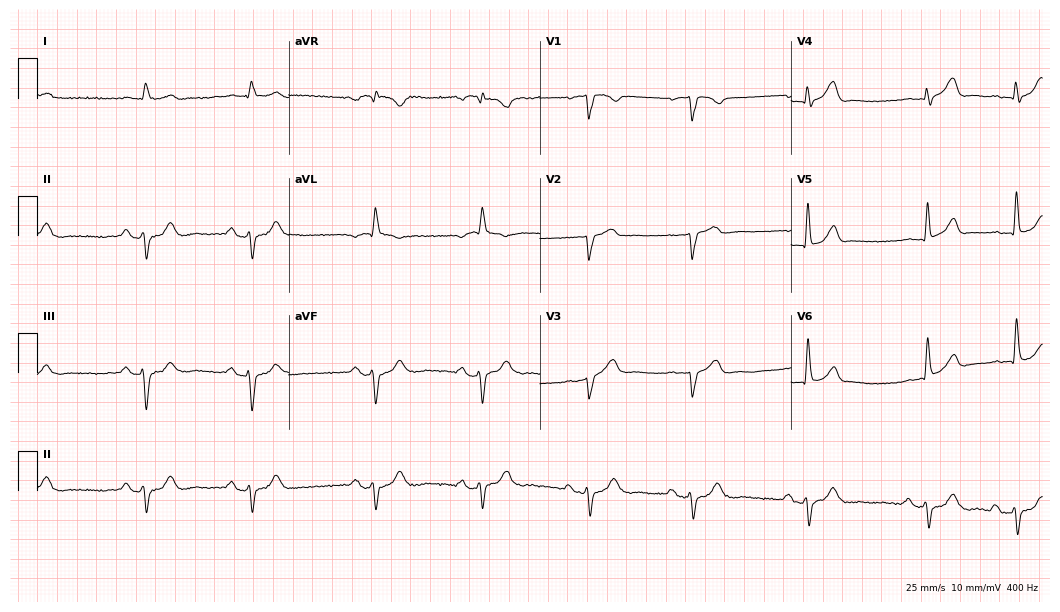
12-lead ECG from a female, 70 years old. Screened for six findings — first-degree AV block, right bundle branch block, left bundle branch block, sinus bradycardia, atrial fibrillation, sinus tachycardia — none is recorded.